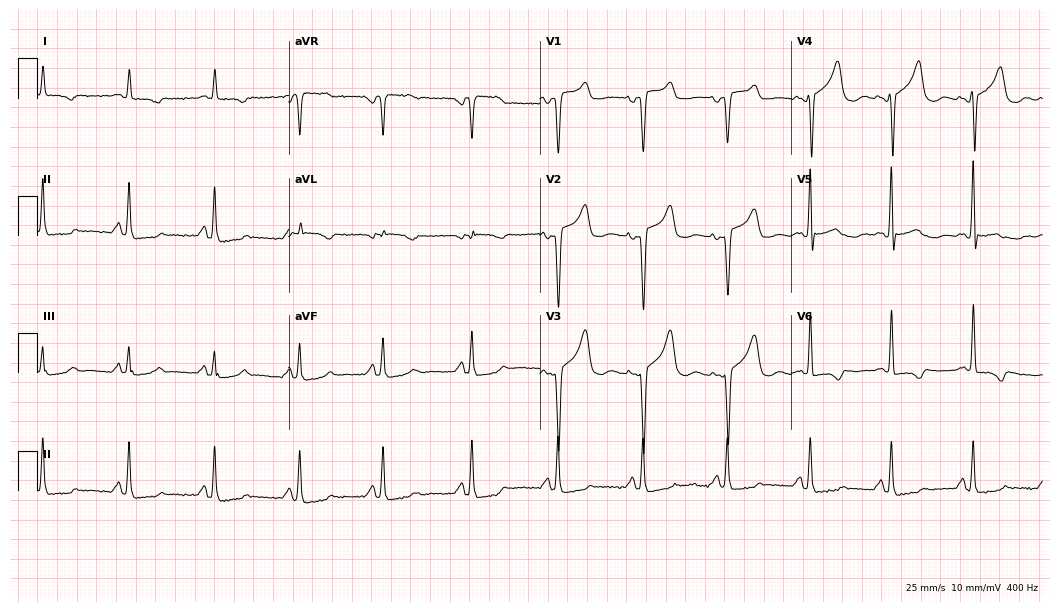
Standard 12-lead ECG recorded from a woman, 76 years old (10.2-second recording at 400 Hz). None of these six findings is recorded: first-degree AV block, right bundle branch block, left bundle branch block, sinus bradycardia, atrial fibrillation, sinus tachycardia.